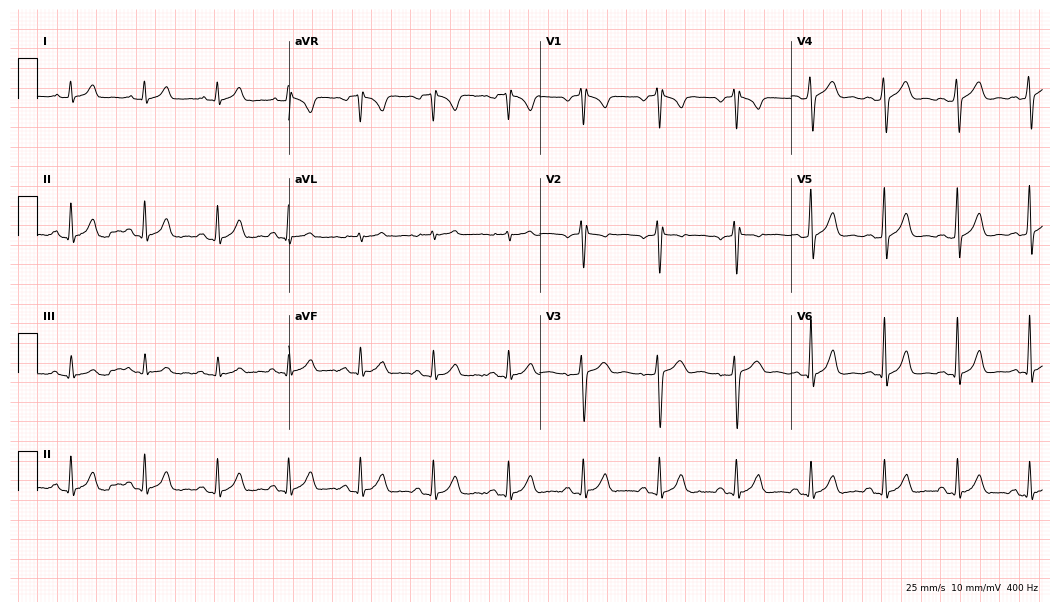
ECG (10.2-second recording at 400 Hz) — a male patient, 34 years old. Labelled as a normal ECG.